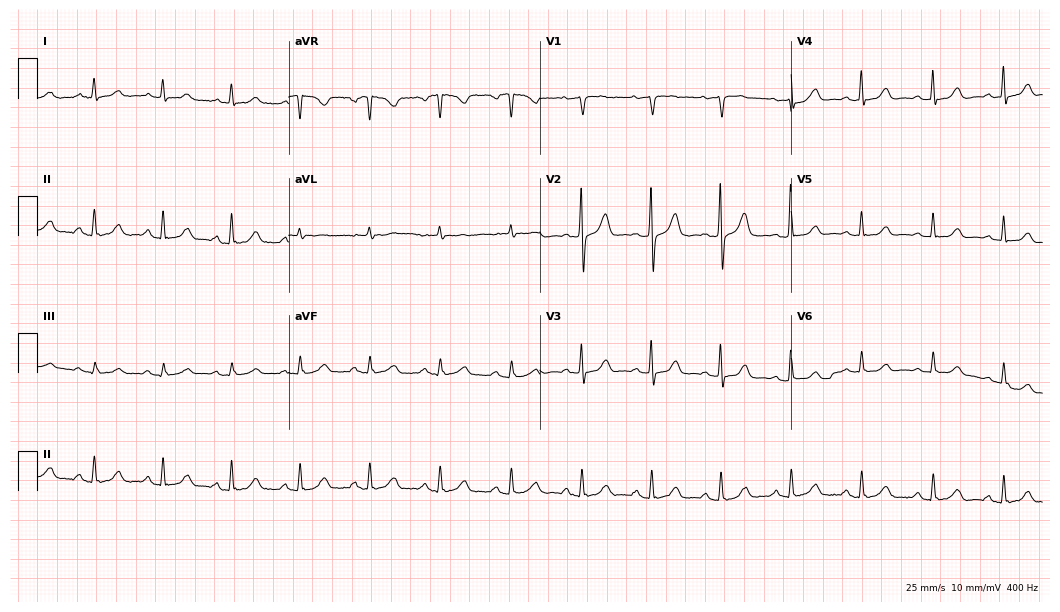
Standard 12-lead ECG recorded from a female patient, 81 years old (10.2-second recording at 400 Hz). None of these six findings is recorded: first-degree AV block, right bundle branch block (RBBB), left bundle branch block (LBBB), sinus bradycardia, atrial fibrillation (AF), sinus tachycardia. Other findings, if any, are not listed.